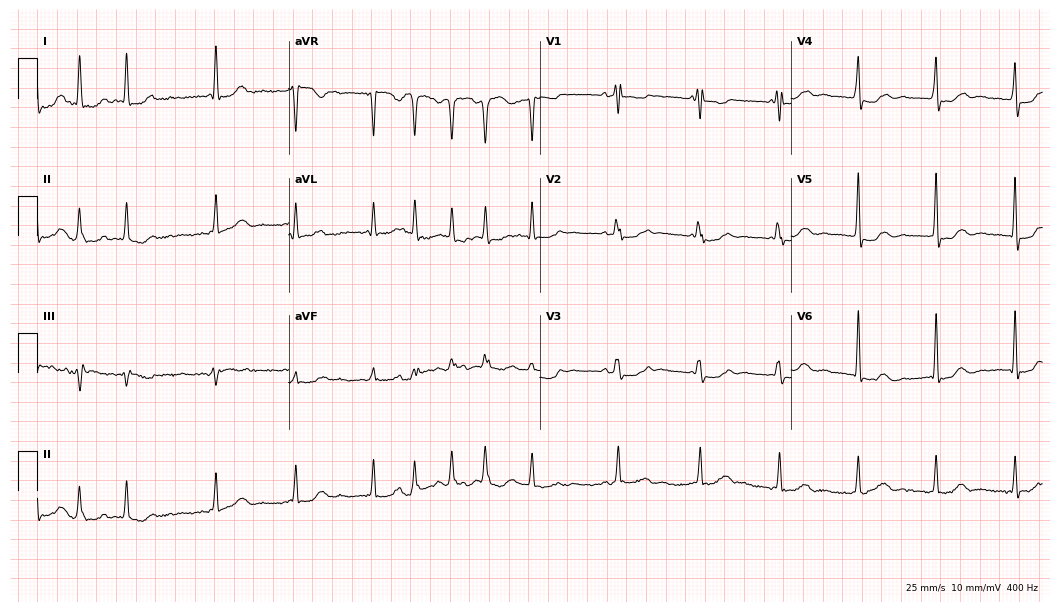
12-lead ECG (10.2-second recording at 400 Hz) from a 78-year-old female. Findings include atrial fibrillation (AF).